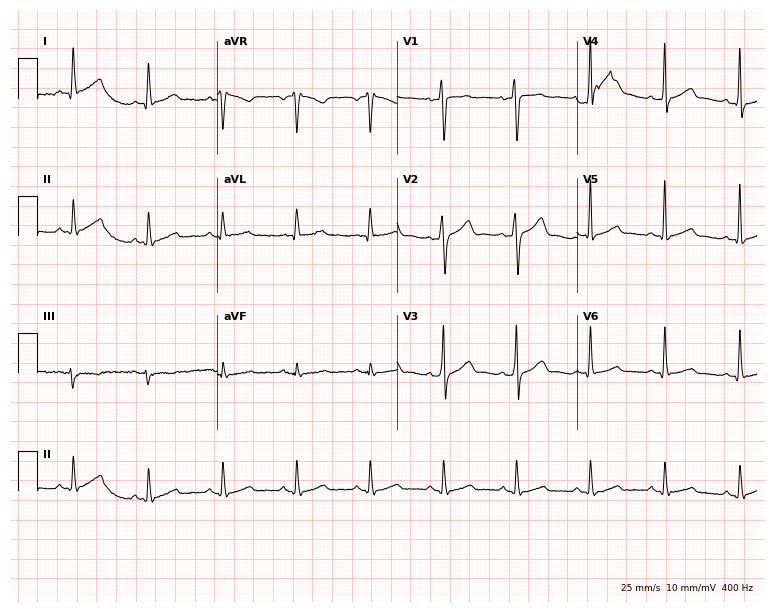
12-lead ECG from a 40-year-old man. No first-degree AV block, right bundle branch block (RBBB), left bundle branch block (LBBB), sinus bradycardia, atrial fibrillation (AF) or sinus tachycardia recorded for this tracing.